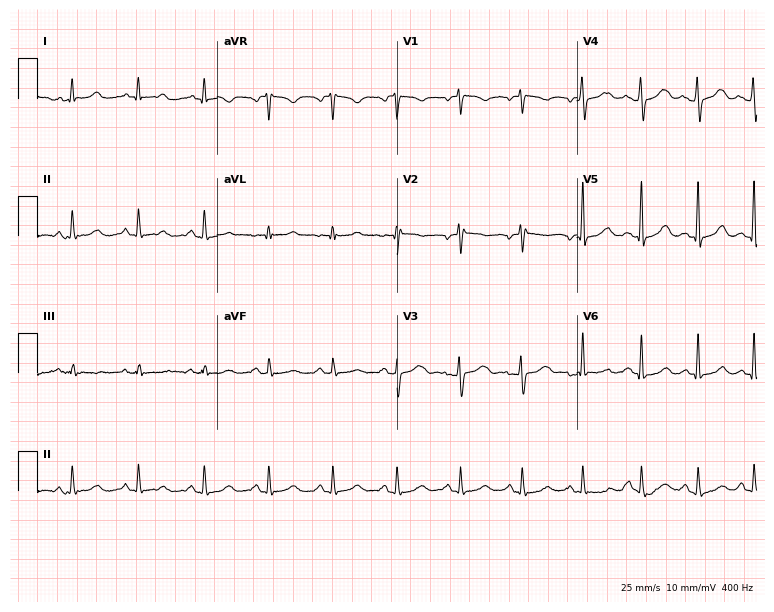
Electrocardiogram, a female patient, 38 years old. Overall reading on record: normal ECG.